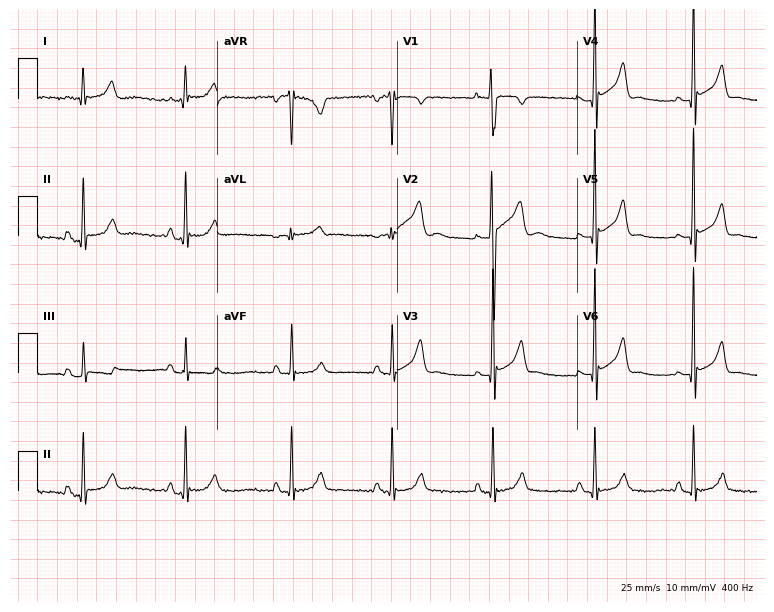
Electrocardiogram (7.3-second recording at 400 Hz), a 17-year-old male. Overall reading on record: normal ECG.